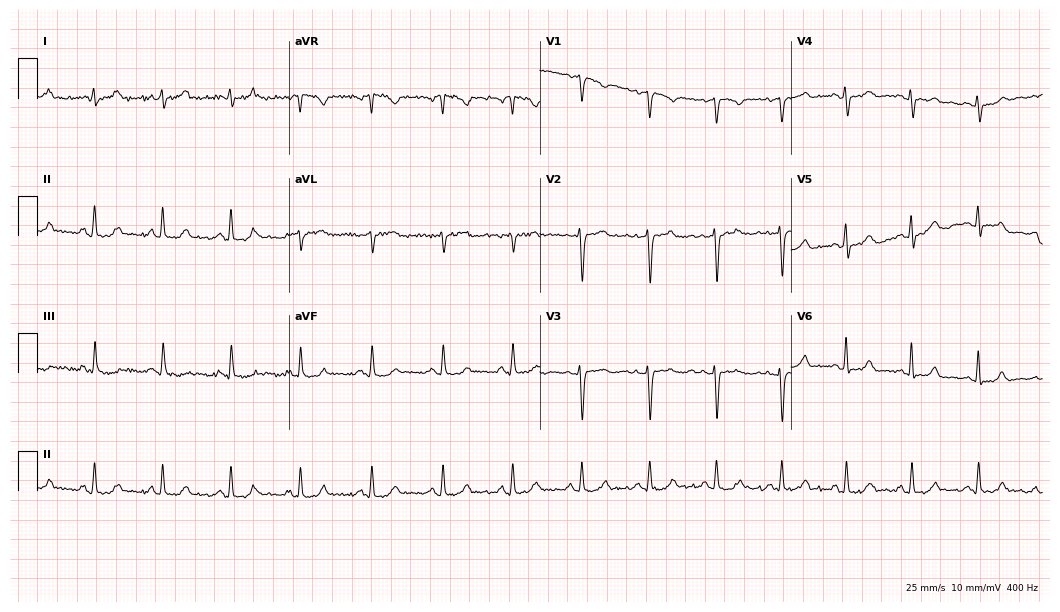
12-lead ECG (10.2-second recording at 400 Hz) from a 43-year-old female patient. Labelled as a normal ECG.